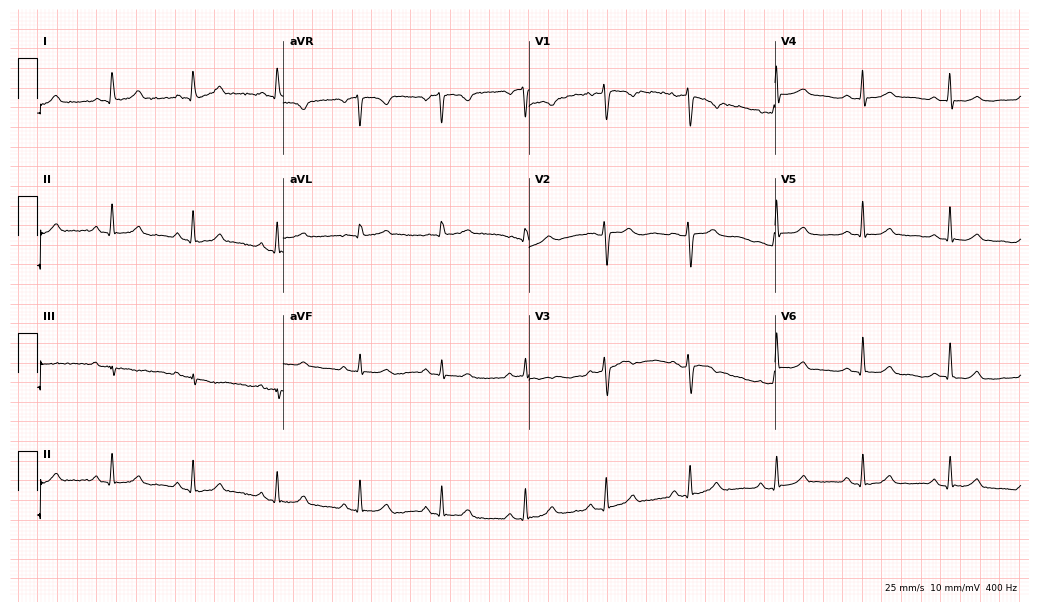
ECG — a female patient, 51 years old. Labelled as a normal ECG.